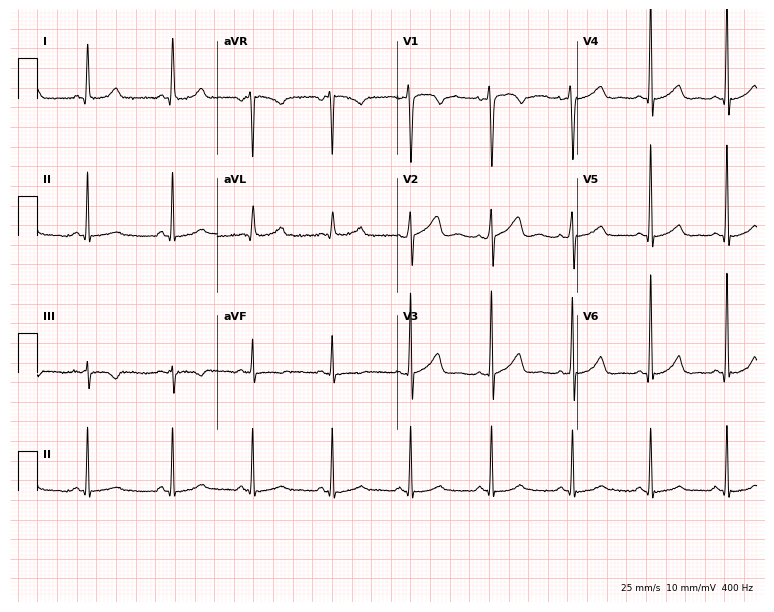
12-lead ECG from a female, 24 years old. Recorded interpretation: within normal limits.